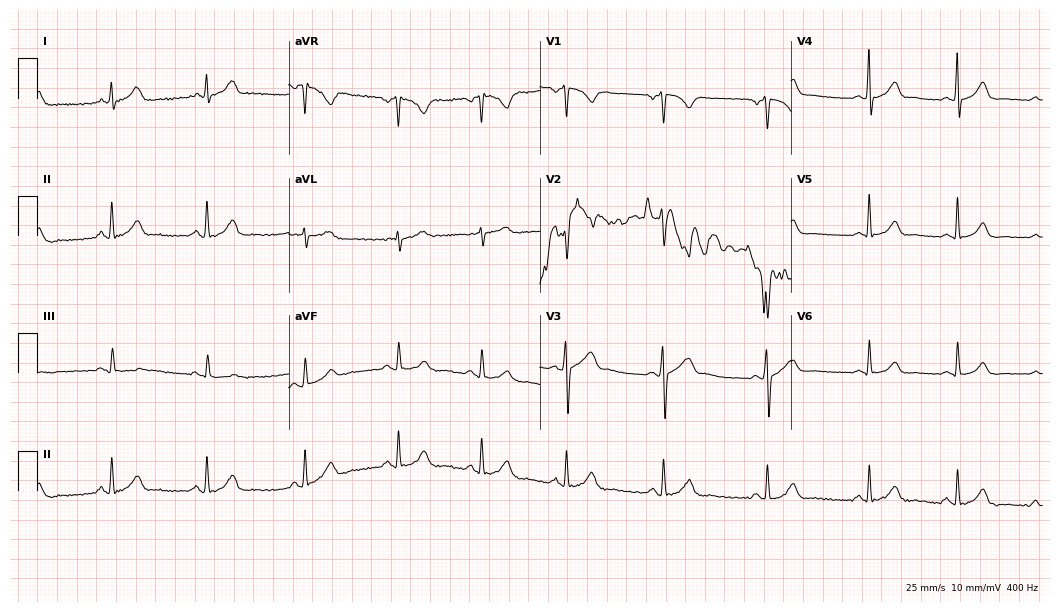
ECG (10.2-second recording at 400 Hz) — a 27-year-old male. Labelled as a normal ECG.